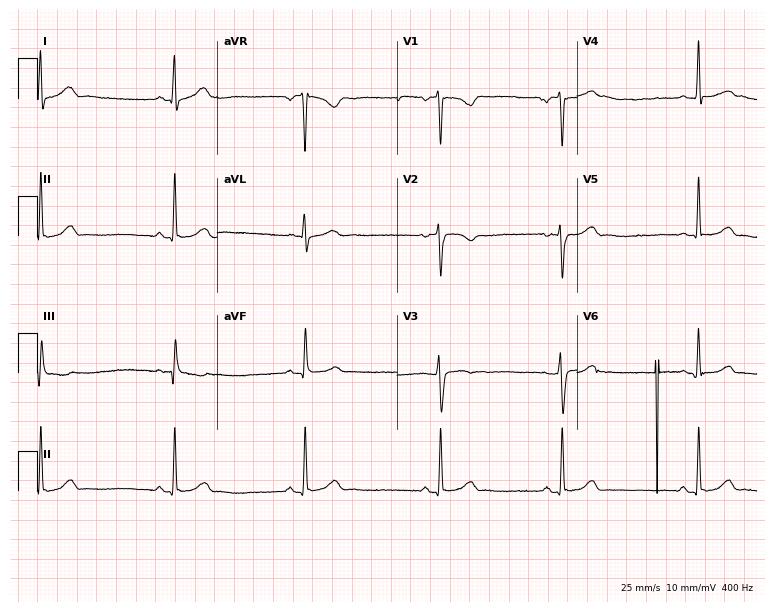
ECG — an 18-year-old woman. Findings include atrial fibrillation.